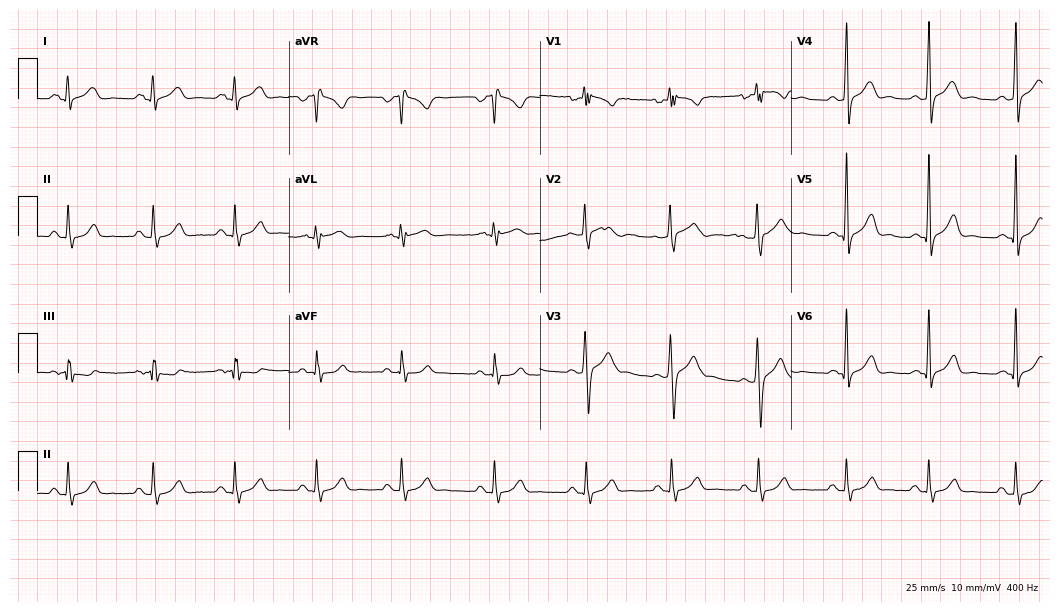
12-lead ECG (10.2-second recording at 400 Hz) from a man, 24 years old. Screened for six findings — first-degree AV block, right bundle branch block, left bundle branch block, sinus bradycardia, atrial fibrillation, sinus tachycardia — none is recorded. Other findings, if any, are not listed.